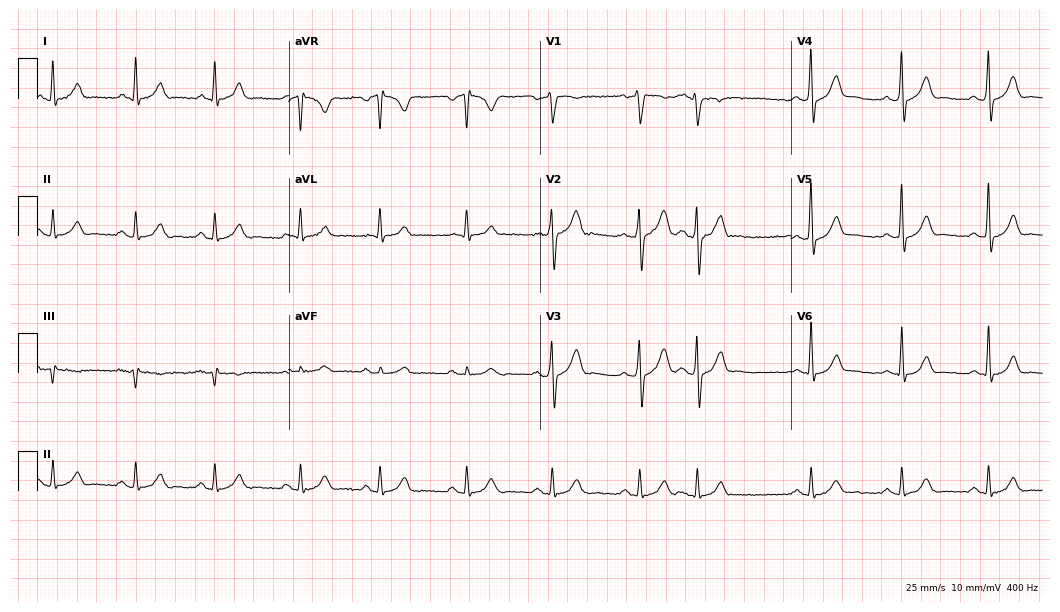
Electrocardiogram (10.2-second recording at 400 Hz), a male patient, 47 years old. Of the six screened findings (first-degree AV block, right bundle branch block (RBBB), left bundle branch block (LBBB), sinus bradycardia, atrial fibrillation (AF), sinus tachycardia), none is recorded. Only these six findings were labelled.